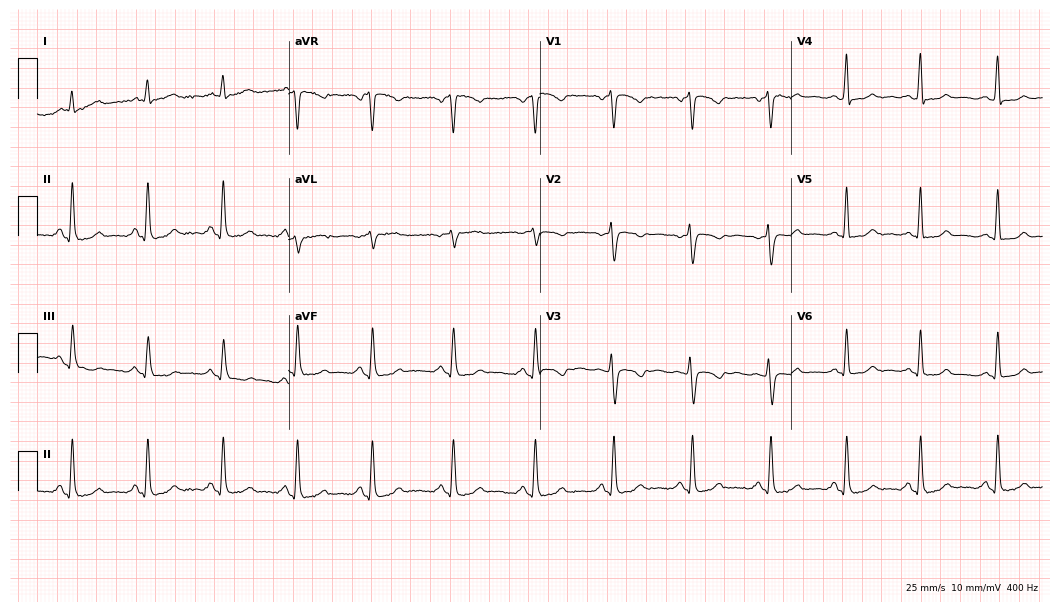
ECG — a female, 32 years old. Screened for six findings — first-degree AV block, right bundle branch block (RBBB), left bundle branch block (LBBB), sinus bradycardia, atrial fibrillation (AF), sinus tachycardia — none is recorded. Only these six findings were labelled.